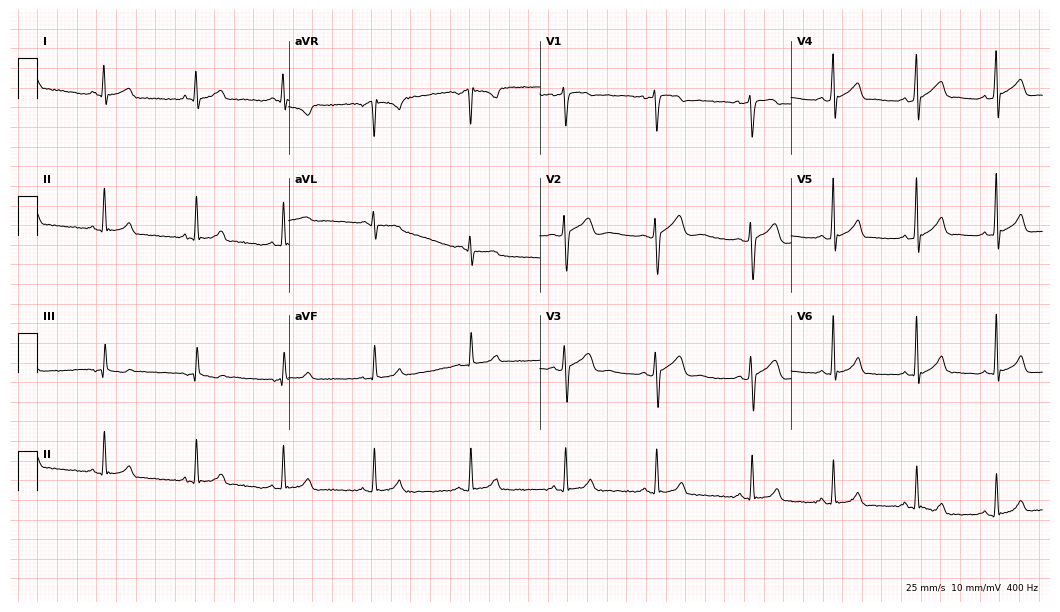
Standard 12-lead ECG recorded from a male patient, 17 years old (10.2-second recording at 400 Hz). None of these six findings is recorded: first-degree AV block, right bundle branch block, left bundle branch block, sinus bradycardia, atrial fibrillation, sinus tachycardia.